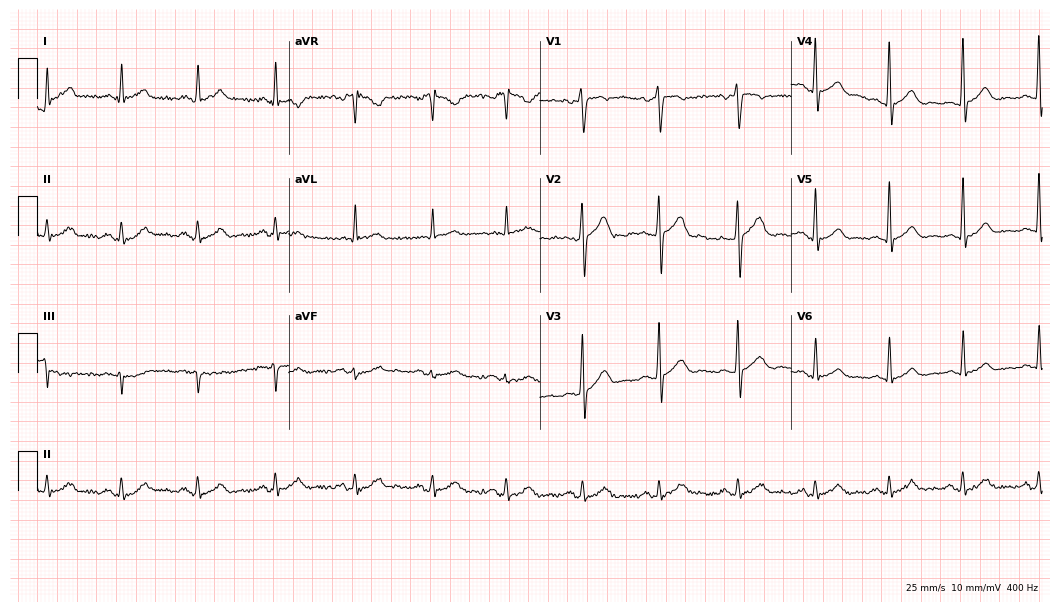
12-lead ECG from a male, 45 years old. Recorded interpretation: within normal limits.